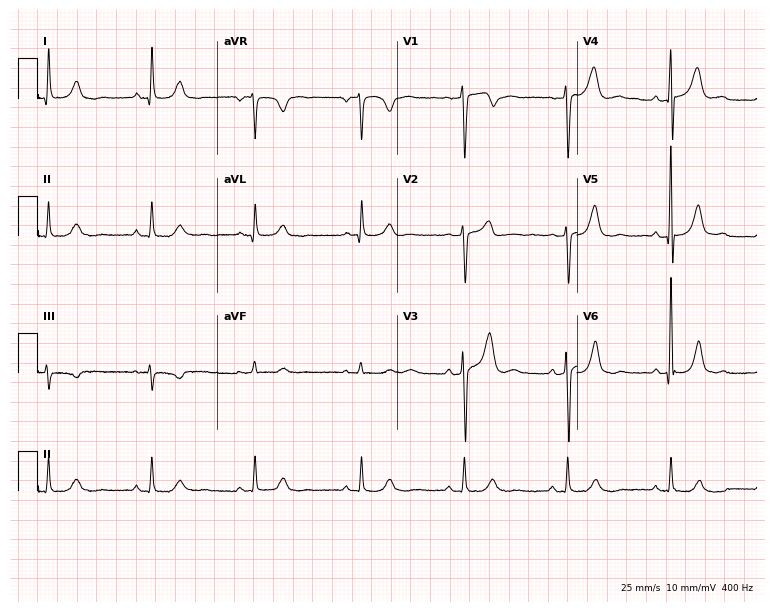
12-lead ECG from a 62-year-old man. Recorded interpretation: within normal limits.